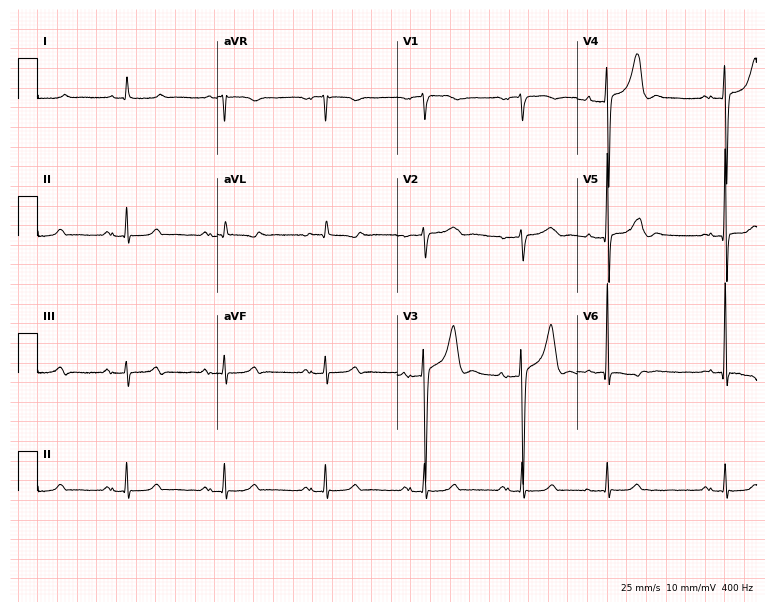
Resting 12-lead electrocardiogram (7.3-second recording at 400 Hz). Patient: a man, 73 years old. None of these six findings is recorded: first-degree AV block, right bundle branch block, left bundle branch block, sinus bradycardia, atrial fibrillation, sinus tachycardia. Findings outside these six are not listed.